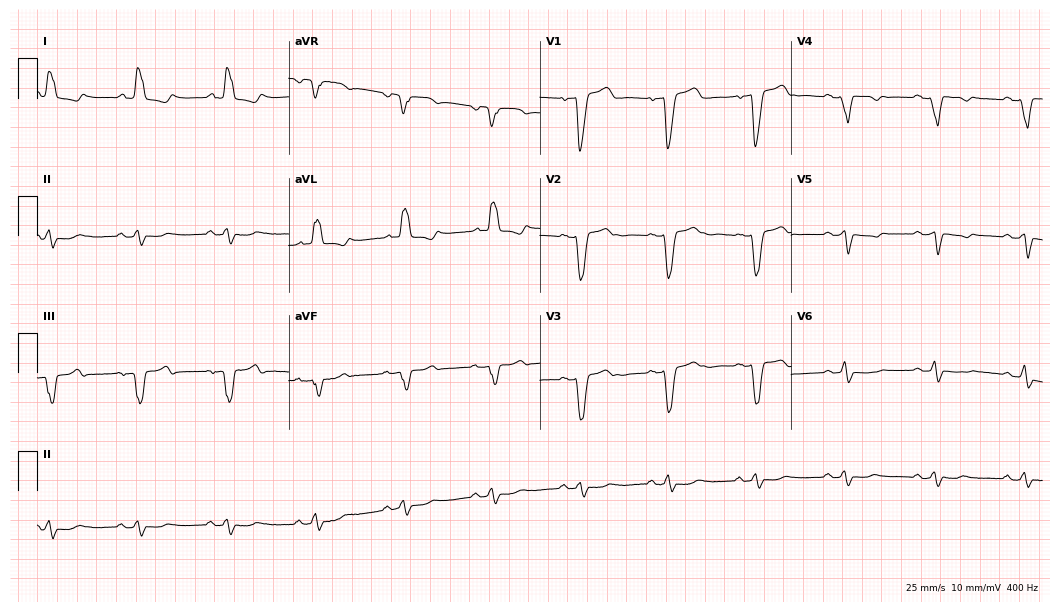
Electrocardiogram (10.2-second recording at 400 Hz), a woman, 67 years old. Interpretation includes left bundle branch block.